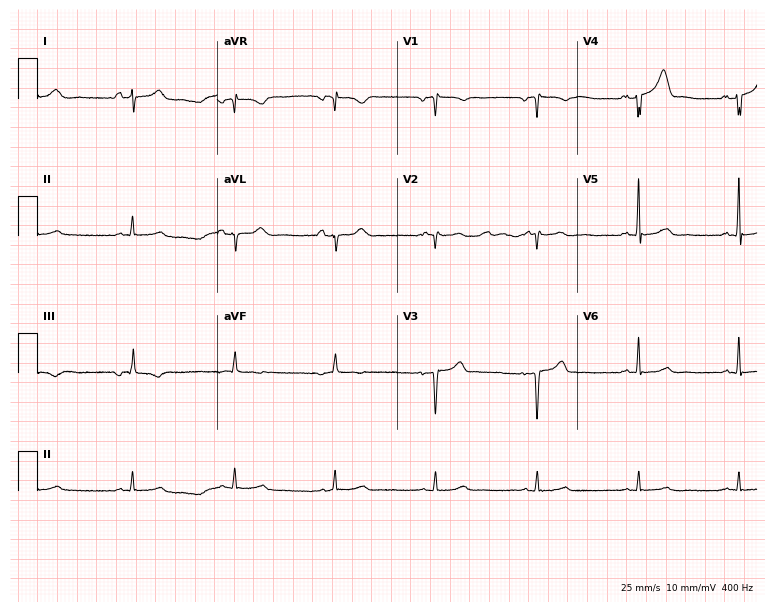
Resting 12-lead electrocardiogram (7.3-second recording at 400 Hz). Patient: a 55-year-old male. None of these six findings is recorded: first-degree AV block, right bundle branch block, left bundle branch block, sinus bradycardia, atrial fibrillation, sinus tachycardia.